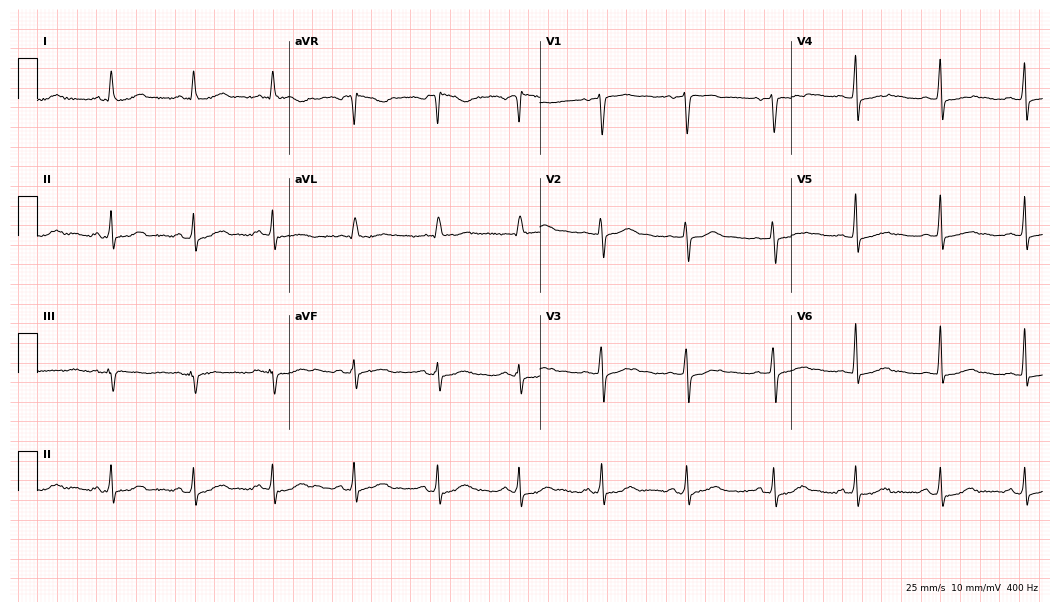
Electrocardiogram (10.2-second recording at 400 Hz), a female patient, 42 years old. Overall reading on record: normal ECG.